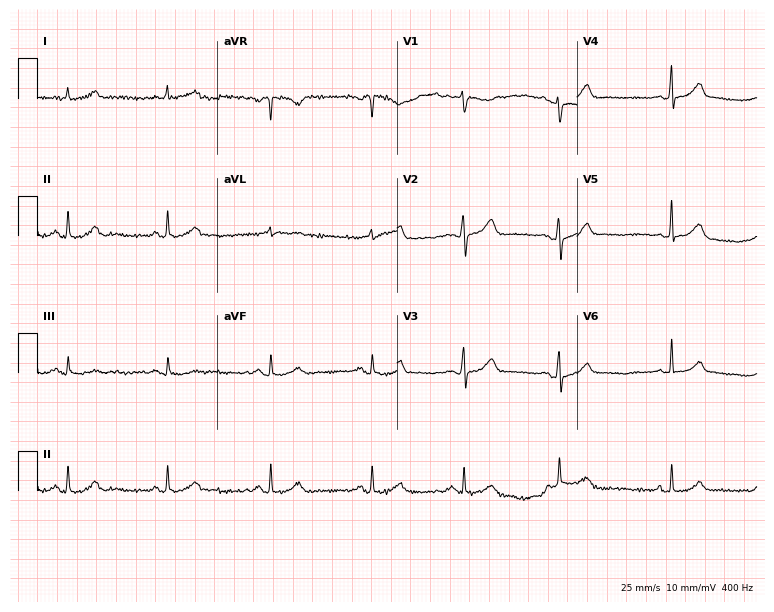
12-lead ECG from a woman, 35 years old (7.3-second recording at 400 Hz). Recorded interpretation: within normal limits.